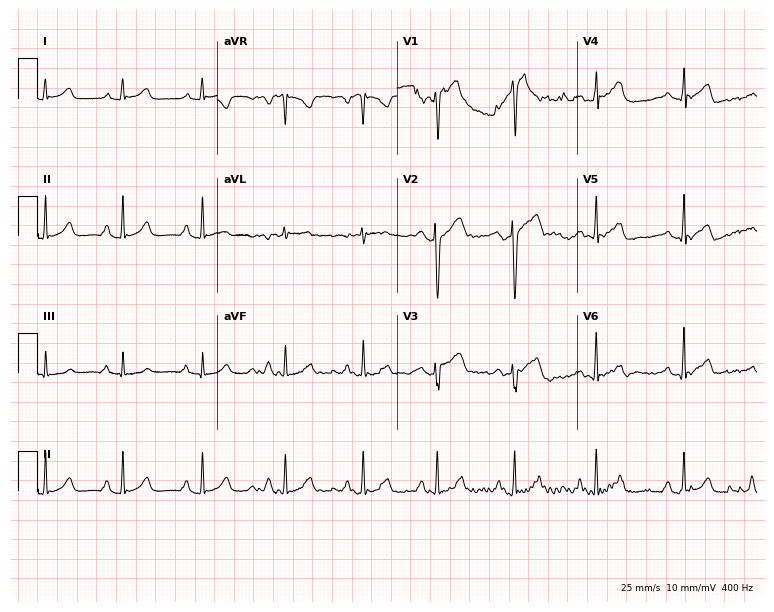
12-lead ECG from a 50-year-old female patient (7.3-second recording at 400 Hz). Recorded interpretation: within normal limits.